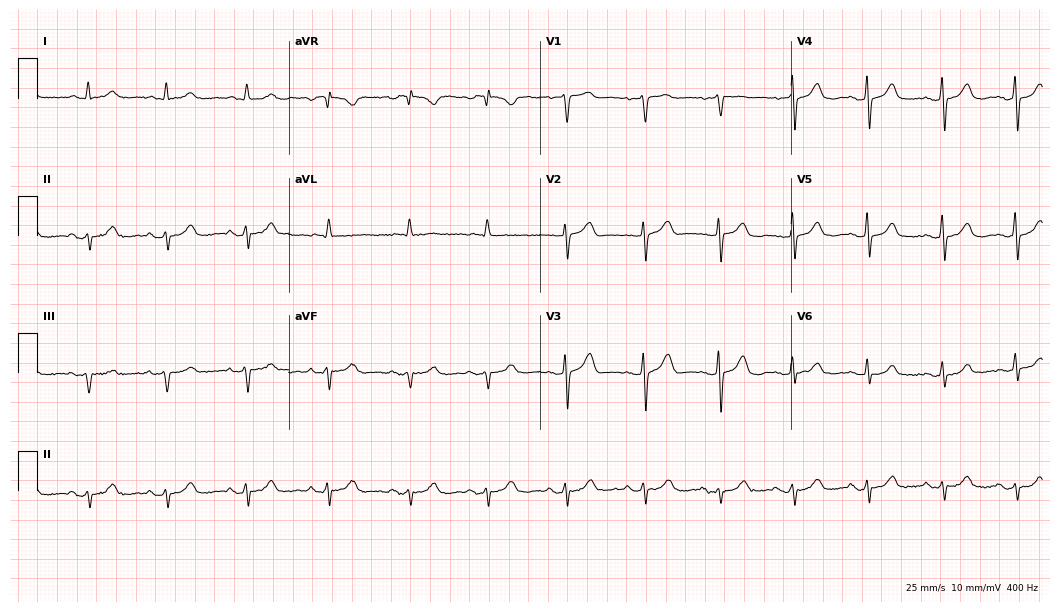
12-lead ECG from a male patient, 77 years old. Screened for six findings — first-degree AV block, right bundle branch block, left bundle branch block, sinus bradycardia, atrial fibrillation, sinus tachycardia — none is recorded.